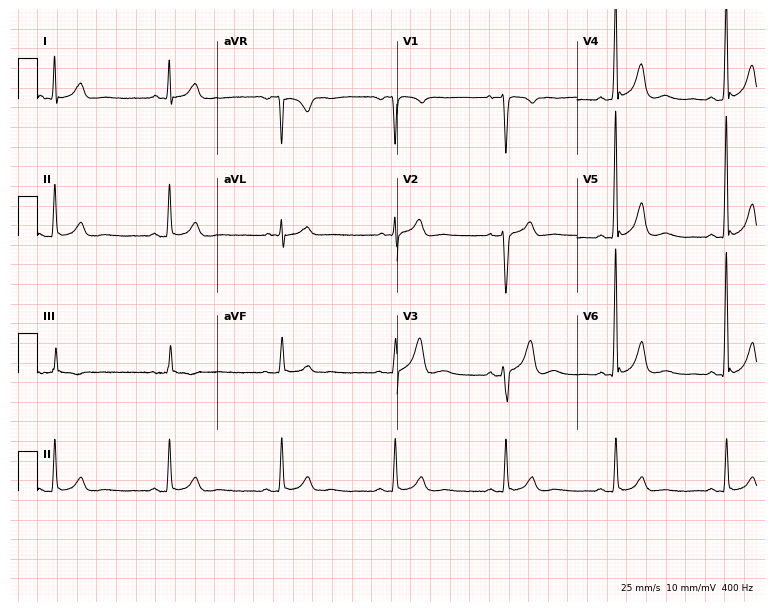
Electrocardiogram (7.3-second recording at 400 Hz), a 45-year-old male patient. Overall reading on record: normal ECG.